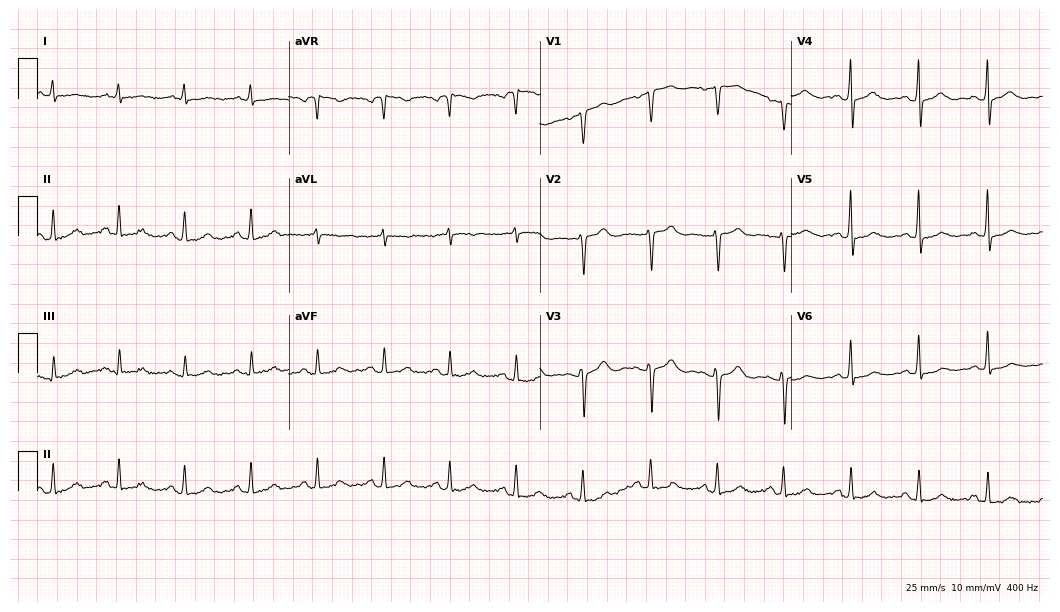
12-lead ECG (10.2-second recording at 400 Hz) from a female, 62 years old. Screened for six findings — first-degree AV block, right bundle branch block (RBBB), left bundle branch block (LBBB), sinus bradycardia, atrial fibrillation (AF), sinus tachycardia — none is recorded.